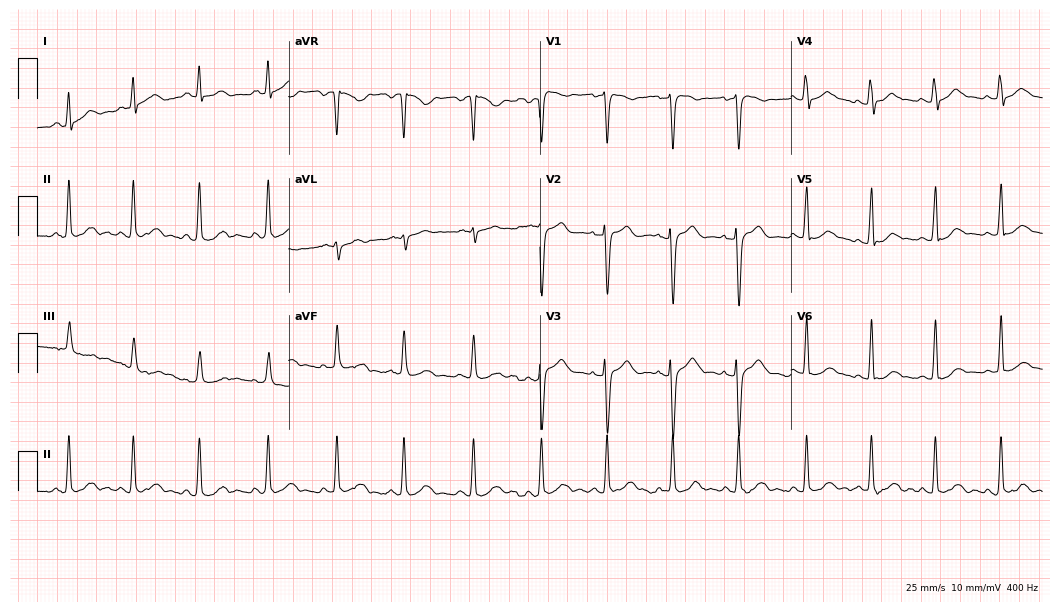
Electrocardiogram (10.2-second recording at 400 Hz), a 34-year-old woman. Of the six screened findings (first-degree AV block, right bundle branch block, left bundle branch block, sinus bradycardia, atrial fibrillation, sinus tachycardia), none is recorded.